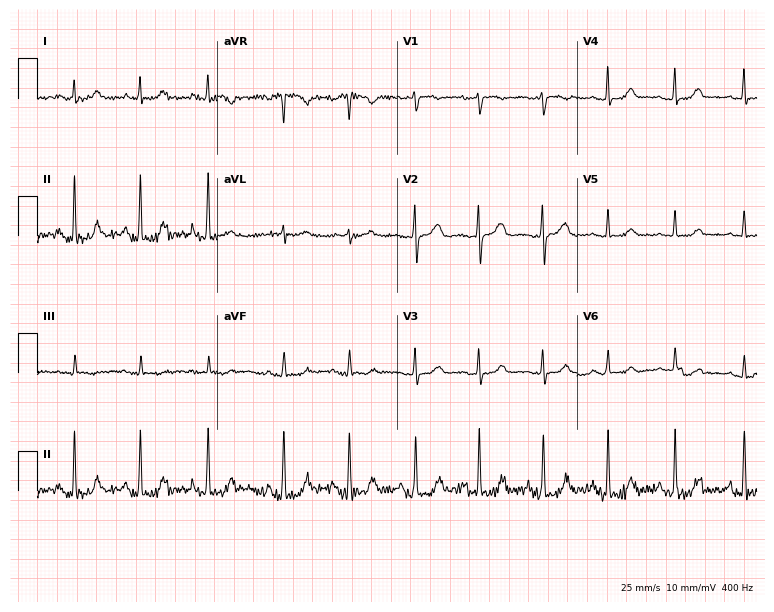
Electrocardiogram, a female, 47 years old. Of the six screened findings (first-degree AV block, right bundle branch block, left bundle branch block, sinus bradycardia, atrial fibrillation, sinus tachycardia), none is recorded.